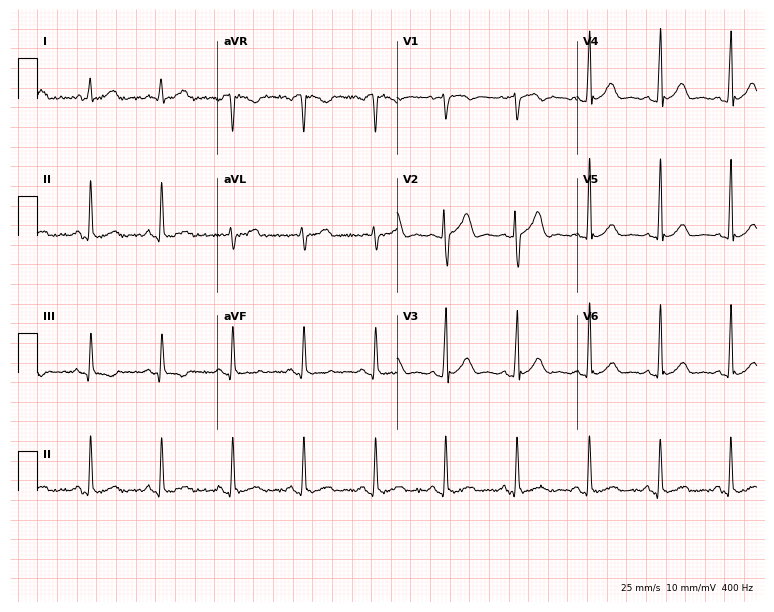
ECG — a man, 35 years old. Labelled as a normal ECG.